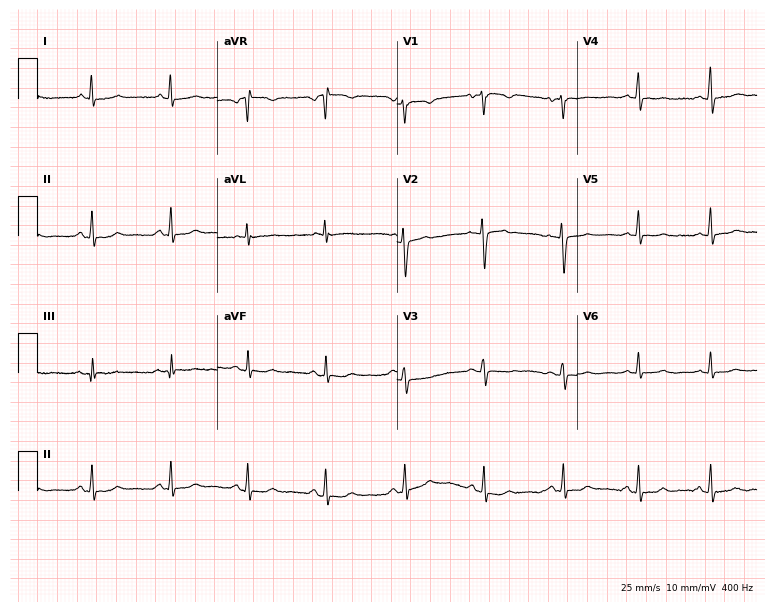
12-lead ECG (7.3-second recording at 400 Hz) from a female, 42 years old. Screened for six findings — first-degree AV block, right bundle branch block (RBBB), left bundle branch block (LBBB), sinus bradycardia, atrial fibrillation (AF), sinus tachycardia — none is recorded.